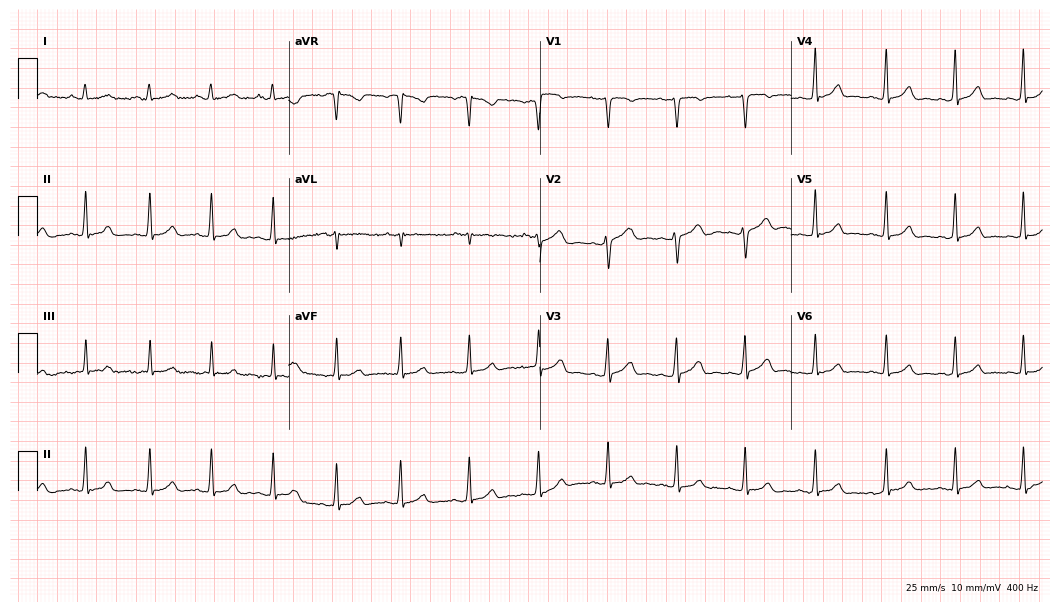
12-lead ECG (10.2-second recording at 400 Hz) from a woman, 21 years old. Labelled as a normal ECG.